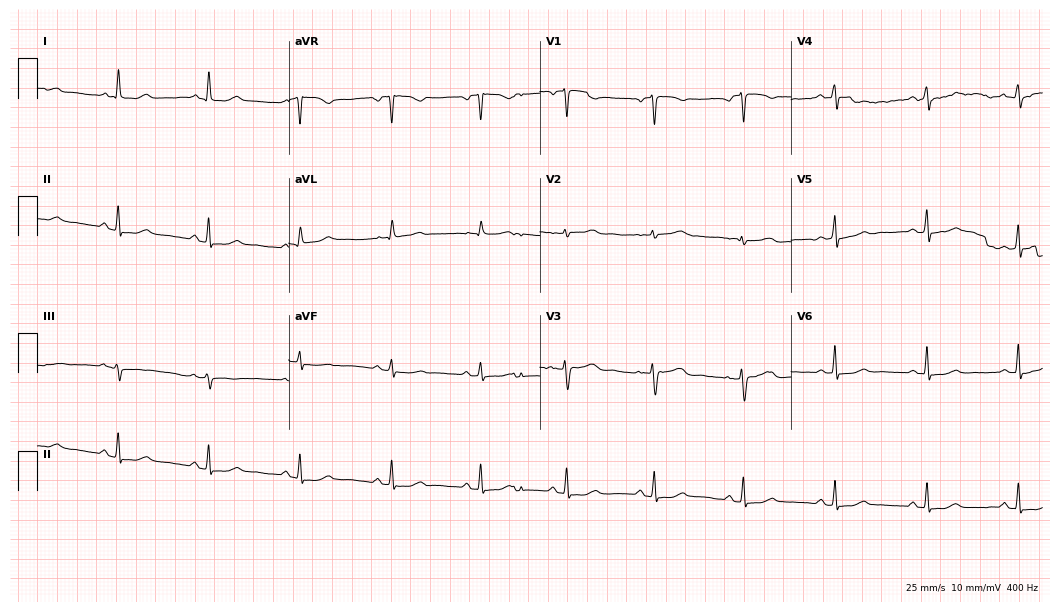
12-lead ECG from a woman, 45 years old. Labelled as a normal ECG.